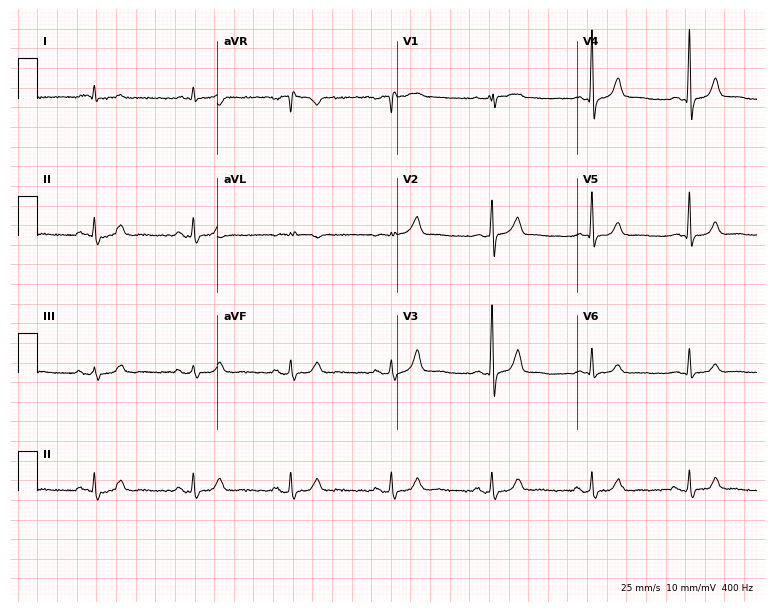
Resting 12-lead electrocardiogram. Patient: a 68-year-old man. None of these six findings is recorded: first-degree AV block, right bundle branch block, left bundle branch block, sinus bradycardia, atrial fibrillation, sinus tachycardia.